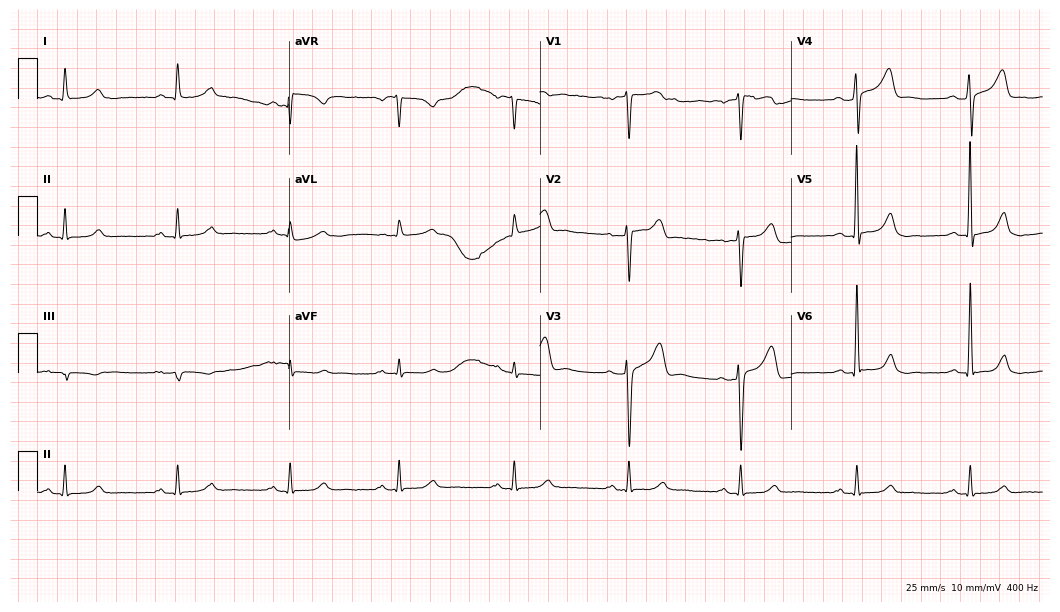
12-lead ECG from a 61-year-old male patient. No first-degree AV block, right bundle branch block, left bundle branch block, sinus bradycardia, atrial fibrillation or sinus tachycardia recorded for this tracing.